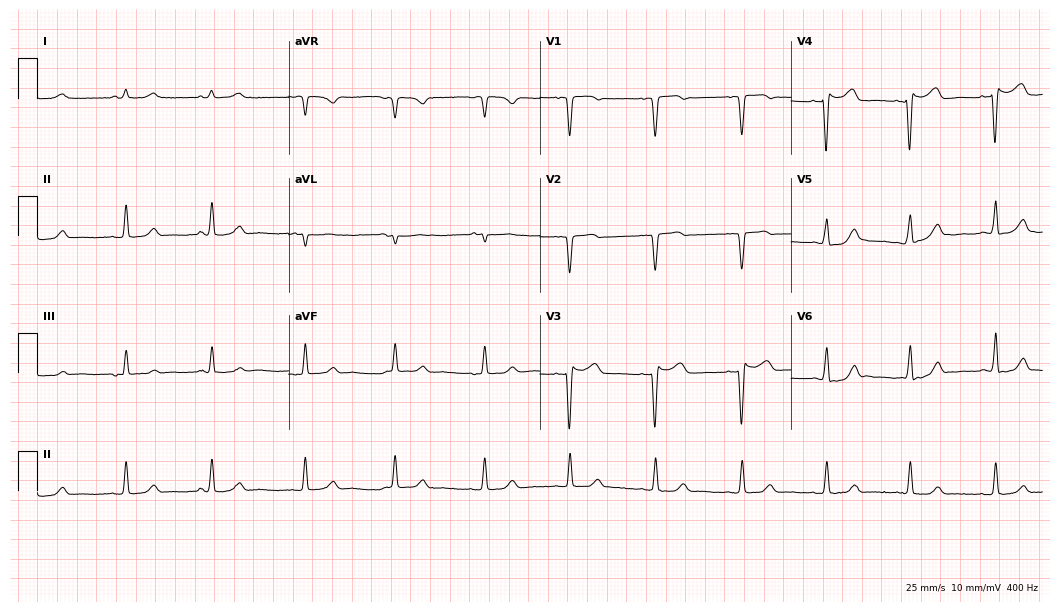
Standard 12-lead ECG recorded from a female, 82 years old. Read as a normal ECG.